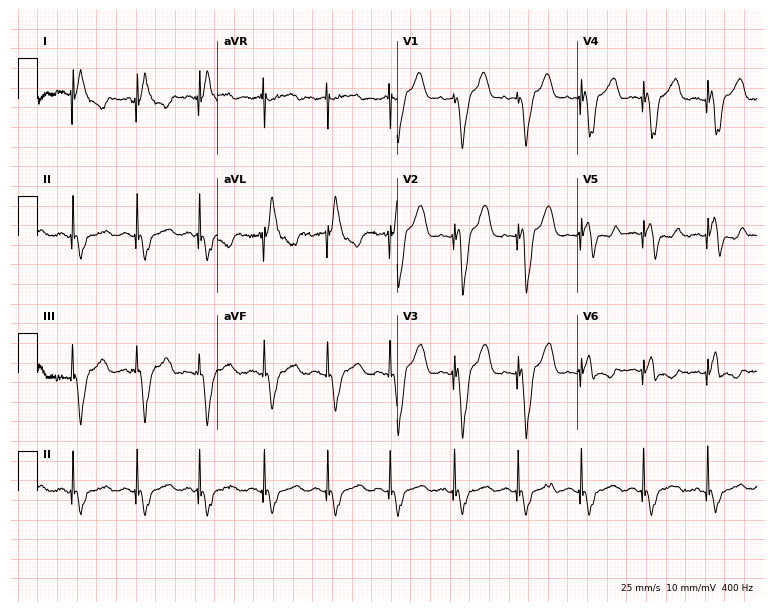
Standard 12-lead ECG recorded from a male, 79 years old. None of these six findings is recorded: first-degree AV block, right bundle branch block, left bundle branch block, sinus bradycardia, atrial fibrillation, sinus tachycardia.